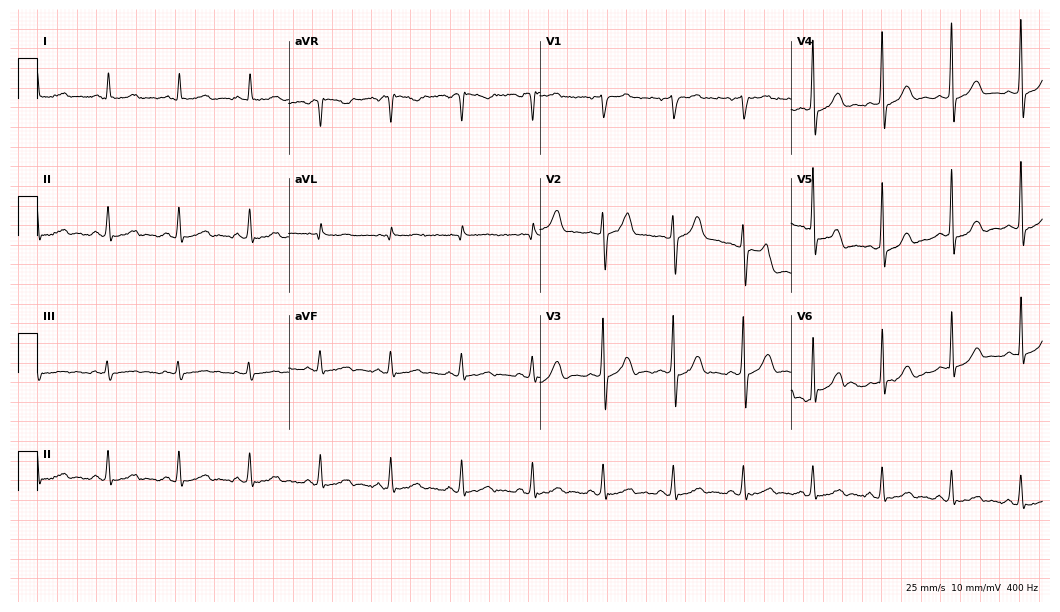
Resting 12-lead electrocardiogram (10.2-second recording at 400 Hz). Patient: a man, 53 years old. Read as a normal ECG.